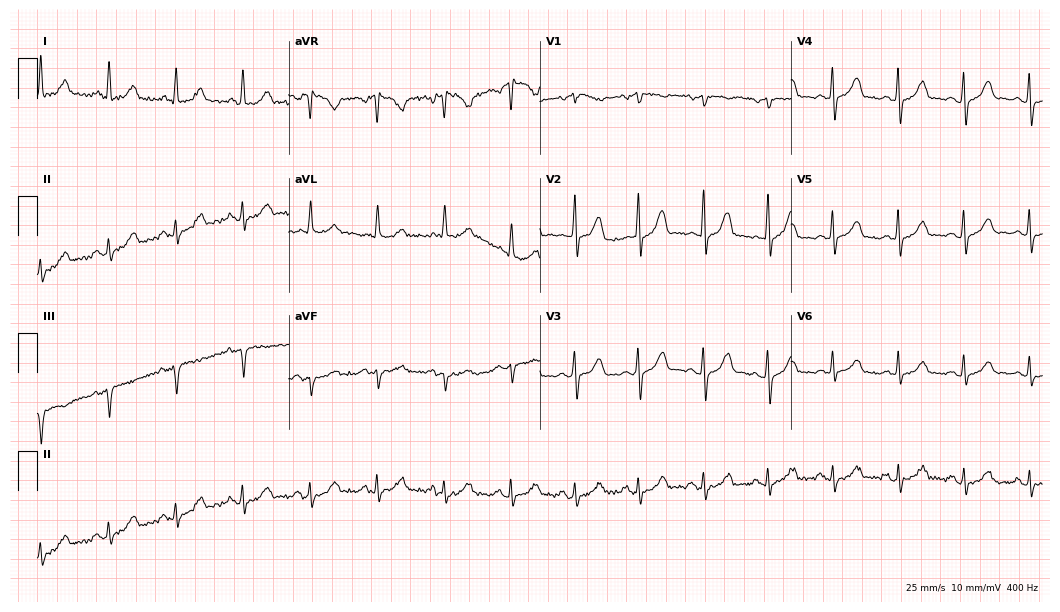
12-lead ECG from a 61-year-old female. Labelled as a normal ECG.